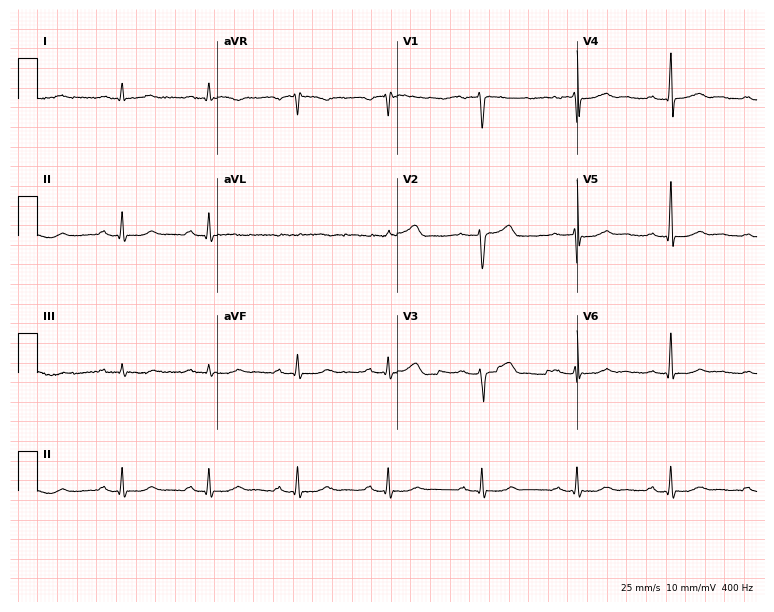
Standard 12-lead ECG recorded from a male, 59 years old. Read as a normal ECG.